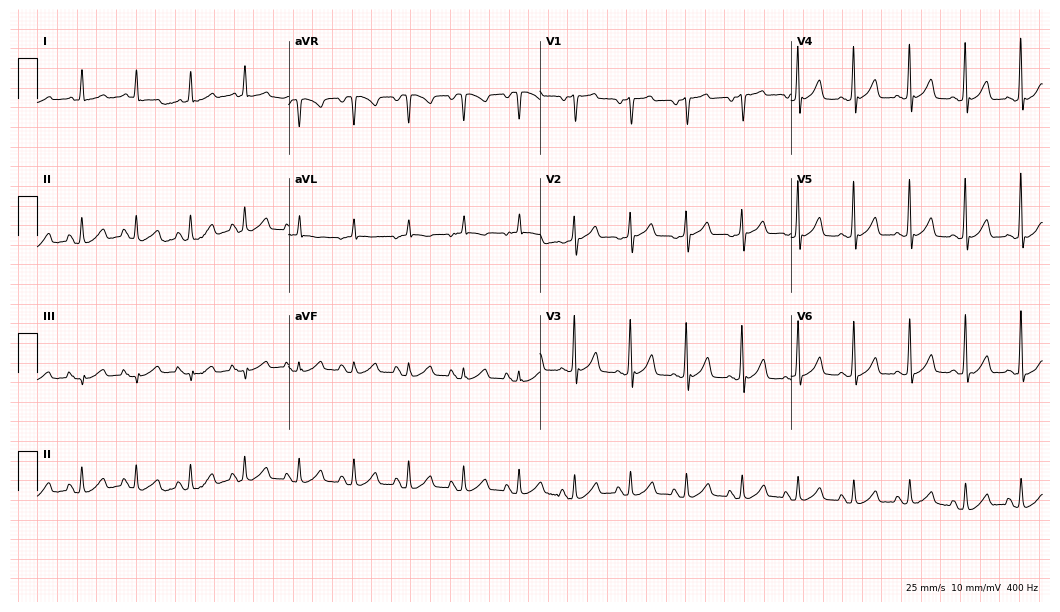
Electrocardiogram, a 76-year-old female patient. Of the six screened findings (first-degree AV block, right bundle branch block, left bundle branch block, sinus bradycardia, atrial fibrillation, sinus tachycardia), none is recorded. Findings outside these six are not listed.